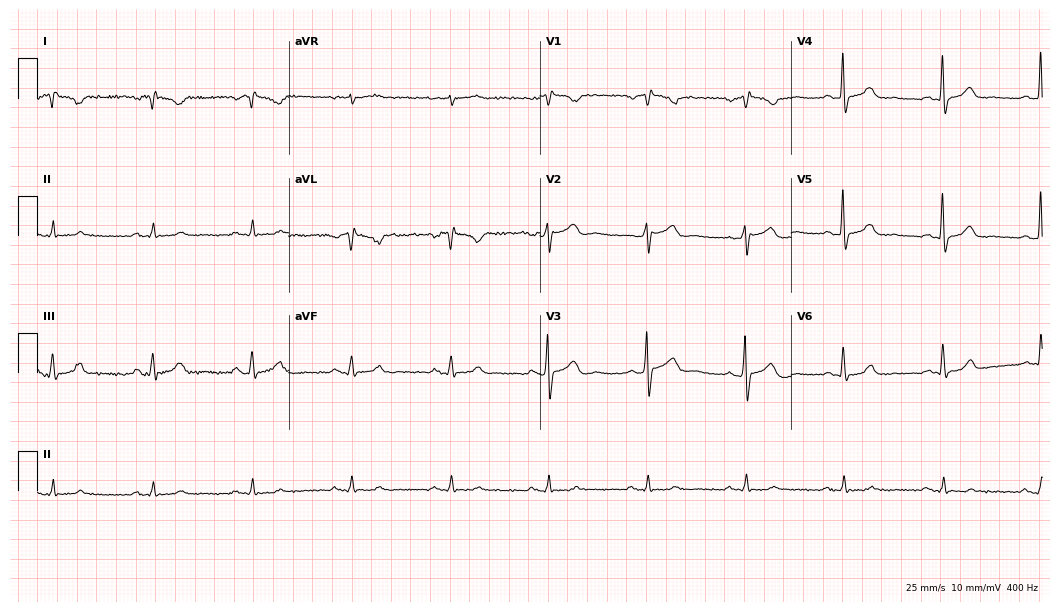
Standard 12-lead ECG recorded from a male patient, 60 years old (10.2-second recording at 400 Hz). Read as a normal ECG.